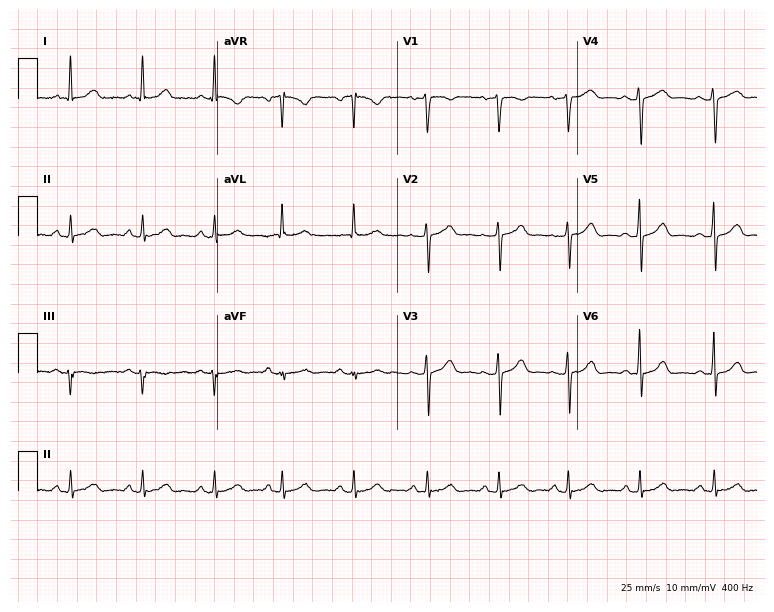
12-lead ECG from a 41-year-old female (7.3-second recording at 400 Hz). Recorded interpretation: within normal limits.